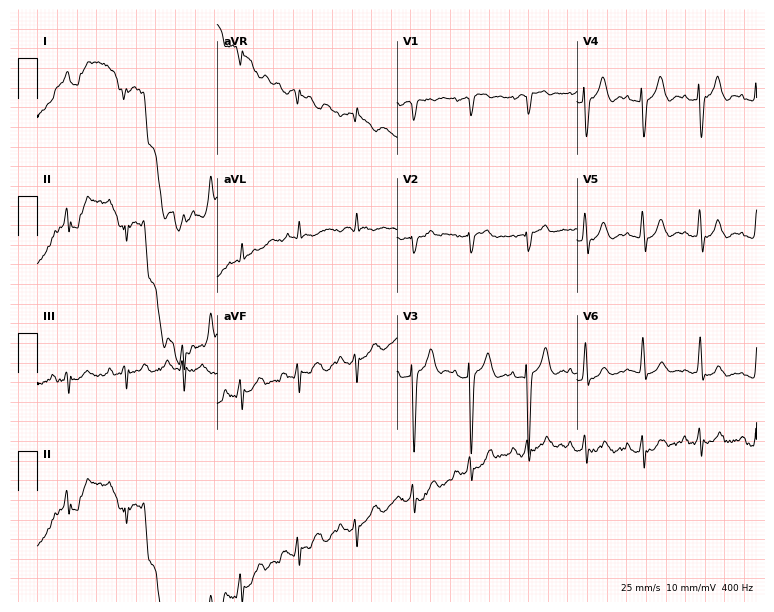
ECG — a male patient, 82 years old. Screened for six findings — first-degree AV block, right bundle branch block (RBBB), left bundle branch block (LBBB), sinus bradycardia, atrial fibrillation (AF), sinus tachycardia — none is recorded. Only these six findings were labelled.